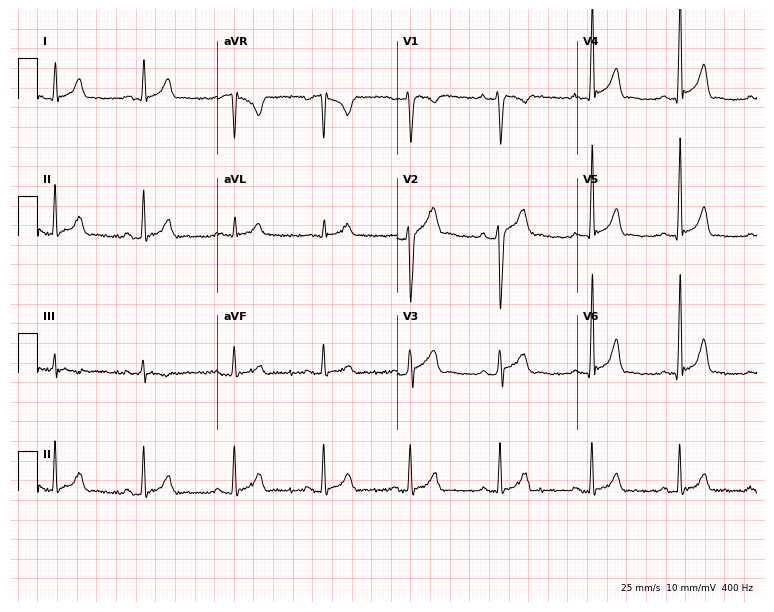
Resting 12-lead electrocardiogram. Patient: a 20-year-old man. Read as a normal ECG.